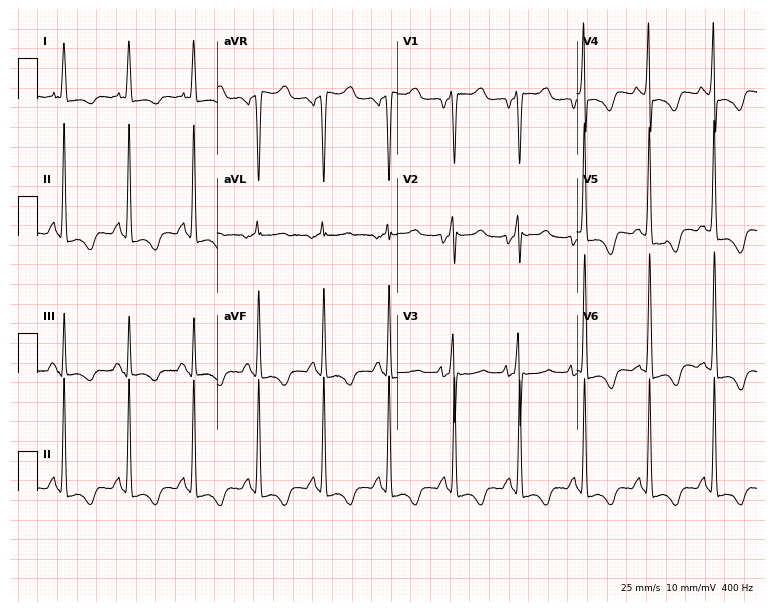
Electrocardiogram, a female, 32 years old. Of the six screened findings (first-degree AV block, right bundle branch block, left bundle branch block, sinus bradycardia, atrial fibrillation, sinus tachycardia), none is recorded.